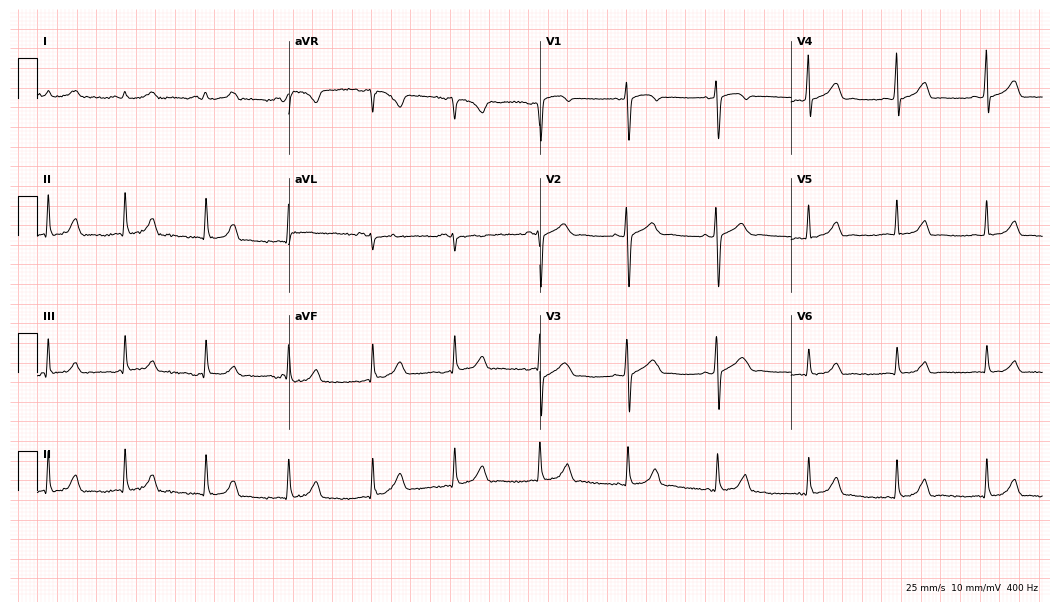
Standard 12-lead ECG recorded from a female, 28 years old (10.2-second recording at 400 Hz). None of these six findings is recorded: first-degree AV block, right bundle branch block, left bundle branch block, sinus bradycardia, atrial fibrillation, sinus tachycardia. Other findings, if any, are not listed.